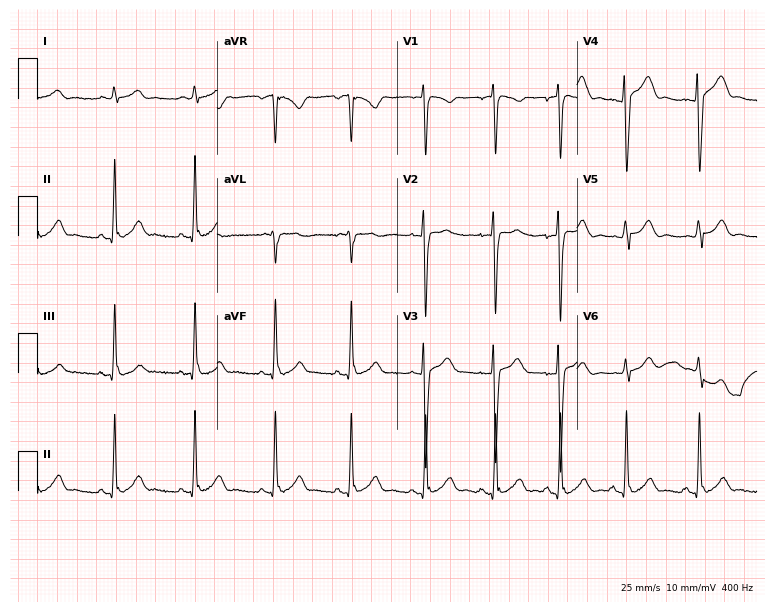
Resting 12-lead electrocardiogram (7.3-second recording at 400 Hz). Patient: a 32-year-old male. None of these six findings is recorded: first-degree AV block, right bundle branch block, left bundle branch block, sinus bradycardia, atrial fibrillation, sinus tachycardia.